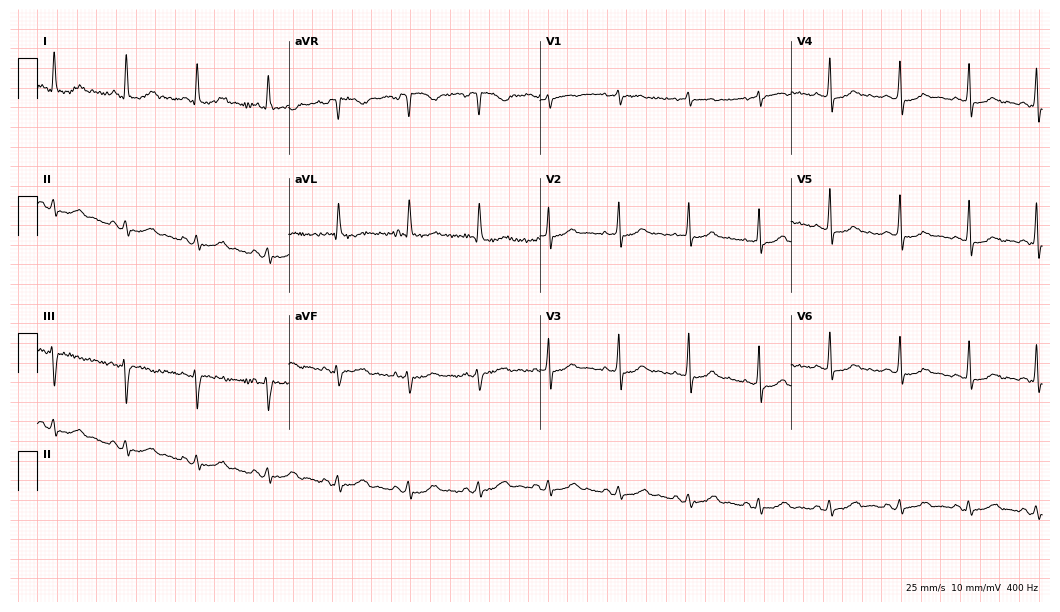
12-lead ECG from a 69-year-old woman. Recorded interpretation: within normal limits.